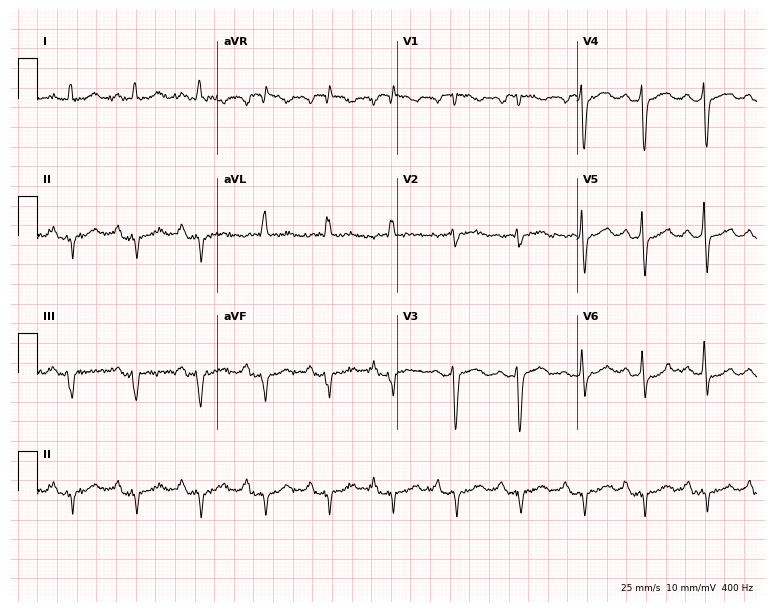
Resting 12-lead electrocardiogram (7.3-second recording at 400 Hz). Patient: a 79-year-old woman. None of these six findings is recorded: first-degree AV block, right bundle branch block, left bundle branch block, sinus bradycardia, atrial fibrillation, sinus tachycardia.